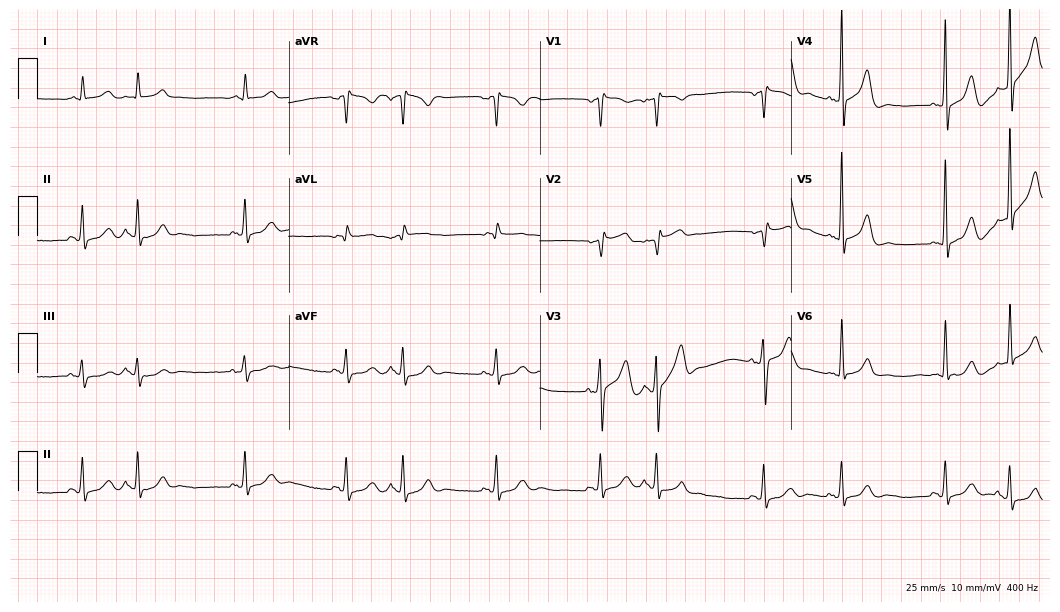
Standard 12-lead ECG recorded from a 68-year-old man (10.2-second recording at 400 Hz). None of these six findings is recorded: first-degree AV block, right bundle branch block (RBBB), left bundle branch block (LBBB), sinus bradycardia, atrial fibrillation (AF), sinus tachycardia. Other findings, if any, are not listed.